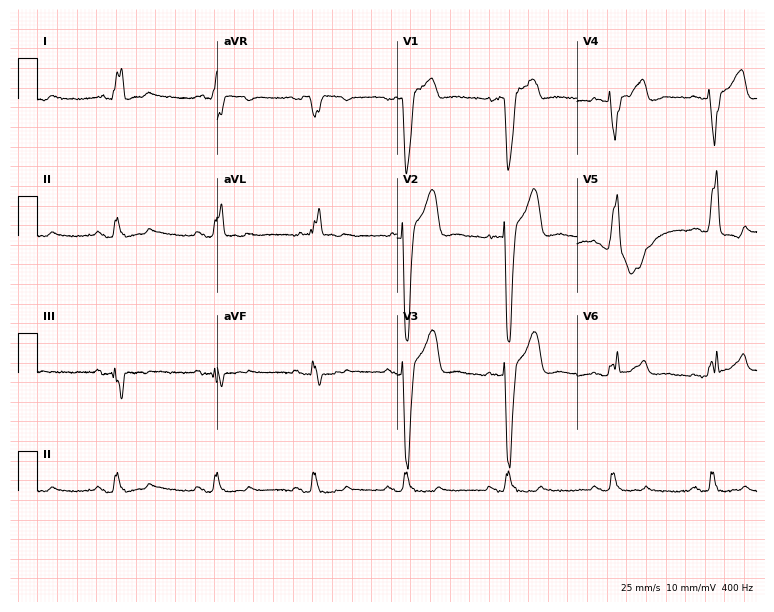
Standard 12-lead ECG recorded from an 83-year-old male (7.3-second recording at 400 Hz). The tracing shows left bundle branch block (LBBB).